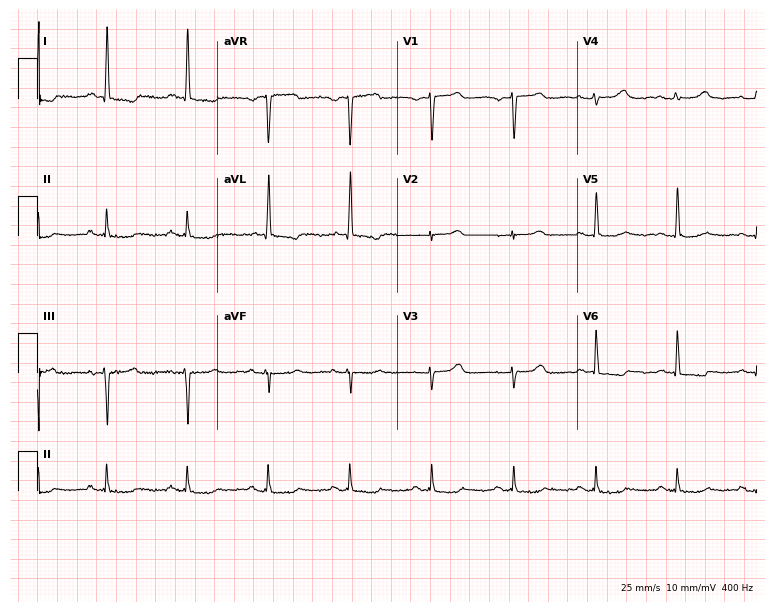
ECG — a 75-year-old female patient. Screened for six findings — first-degree AV block, right bundle branch block, left bundle branch block, sinus bradycardia, atrial fibrillation, sinus tachycardia — none is recorded. Other findings, if any, are not listed.